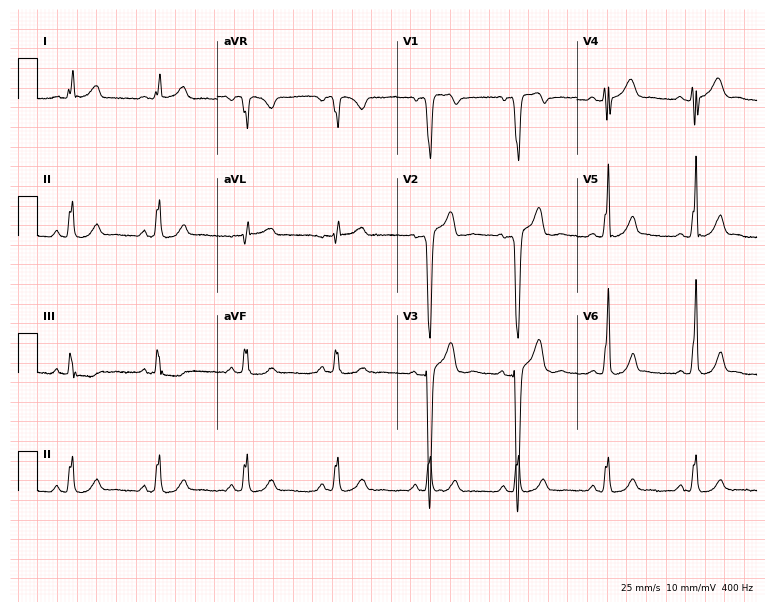
Standard 12-lead ECG recorded from a 35-year-old male. None of these six findings is recorded: first-degree AV block, right bundle branch block, left bundle branch block, sinus bradycardia, atrial fibrillation, sinus tachycardia.